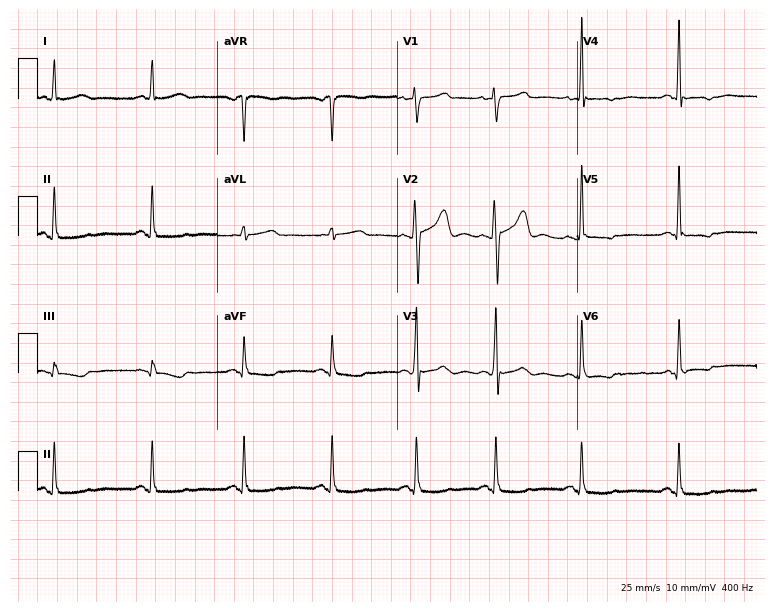
12-lead ECG from a female, 52 years old (7.3-second recording at 400 Hz). No first-degree AV block, right bundle branch block, left bundle branch block, sinus bradycardia, atrial fibrillation or sinus tachycardia recorded for this tracing.